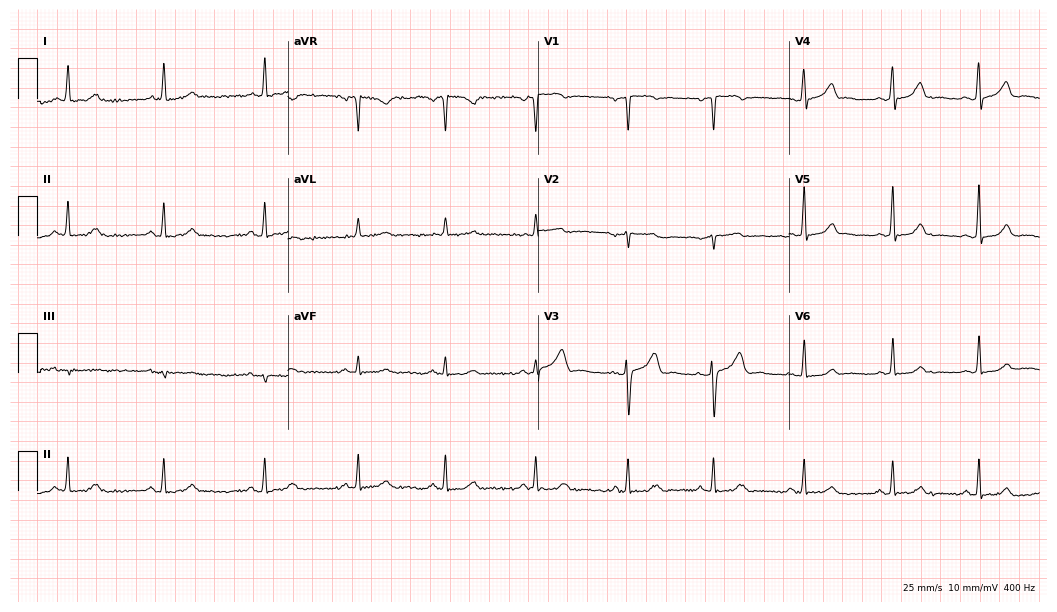
Resting 12-lead electrocardiogram. Patient: a woman, 36 years old. Read as a normal ECG.